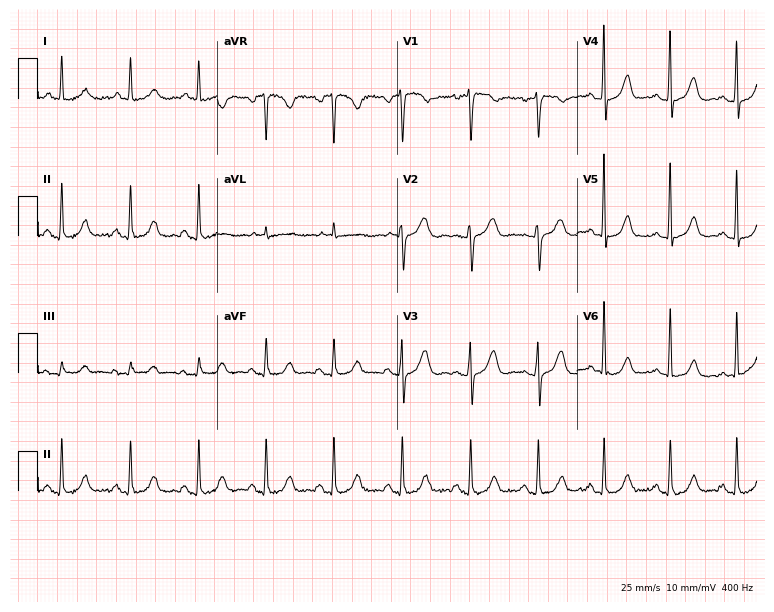
ECG — a 59-year-old female patient. Screened for six findings — first-degree AV block, right bundle branch block (RBBB), left bundle branch block (LBBB), sinus bradycardia, atrial fibrillation (AF), sinus tachycardia — none is recorded.